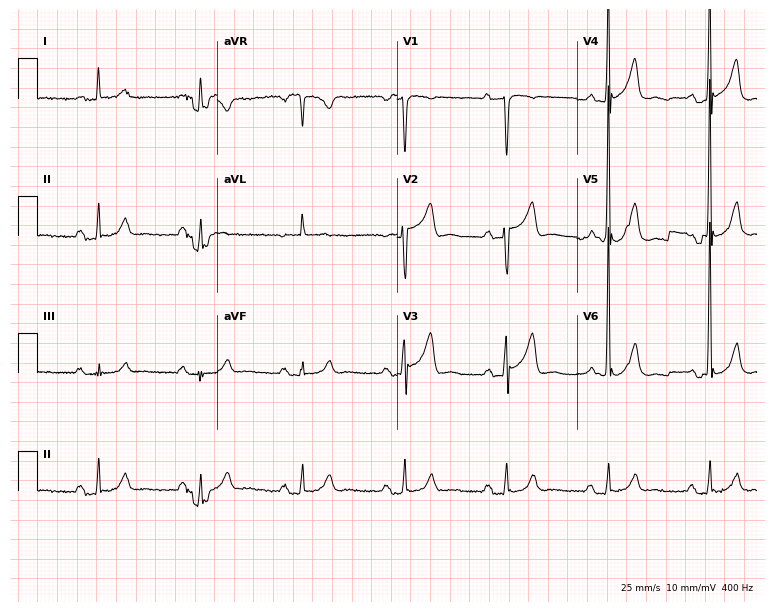
Resting 12-lead electrocardiogram. Patient: a man, 67 years old. Read as a normal ECG.